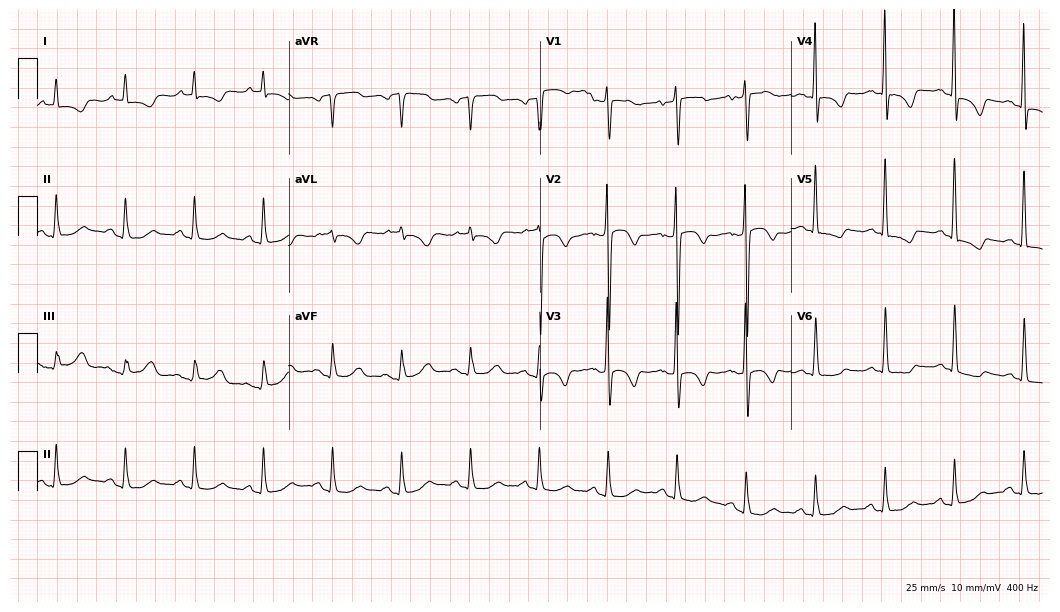
Electrocardiogram (10.2-second recording at 400 Hz), a man, 84 years old. Of the six screened findings (first-degree AV block, right bundle branch block, left bundle branch block, sinus bradycardia, atrial fibrillation, sinus tachycardia), none is recorded.